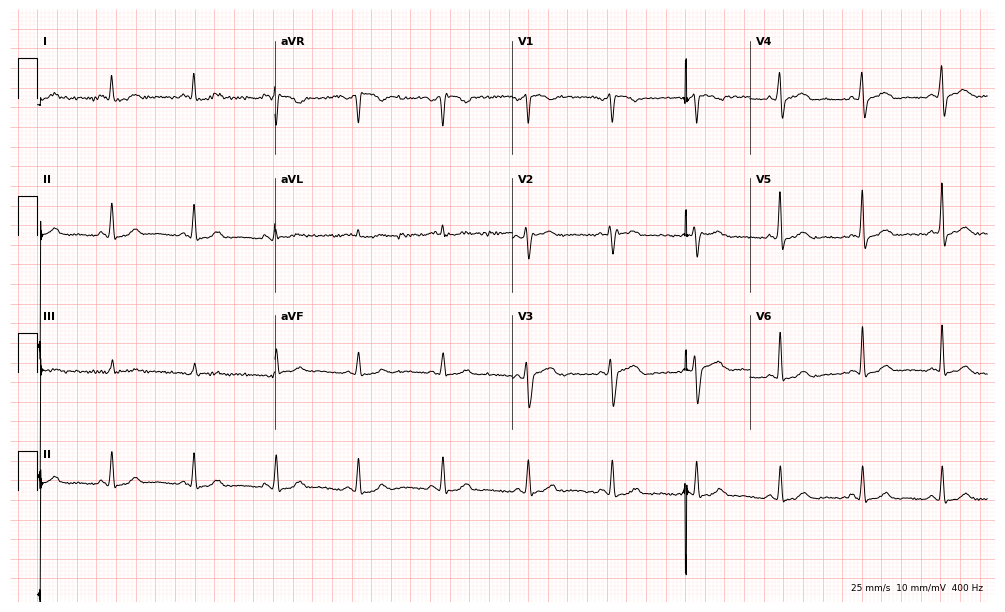
12-lead ECG from a man, 45 years old. No first-degree AV block, right bundle branch block (RBBB), left bundle branch block (LBBB), sinus bradycardia, atrial fibrillation (AF) or sinus tachycardia recorded for this tracing. Only these six findings were labelled.